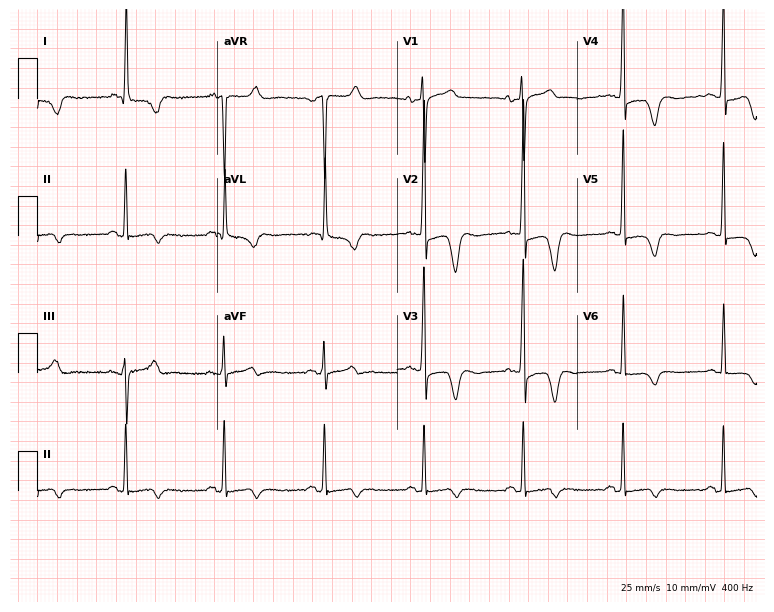
12-lead ECG from a woman, 74 years old. No first-degree AV block, right bundle branch block, left bundle branch block, sinus bradycardia, atrial fibrillation or sinus tachycardia recorded for this tracing. Other findings, if any, are not listed.